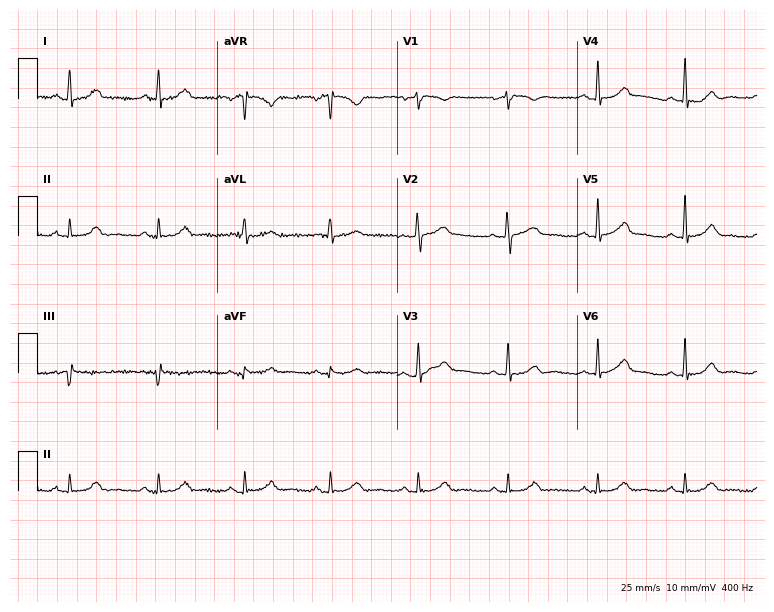
12-lead ECG from a 53-year-old woman. Labelled as a normal ECG.